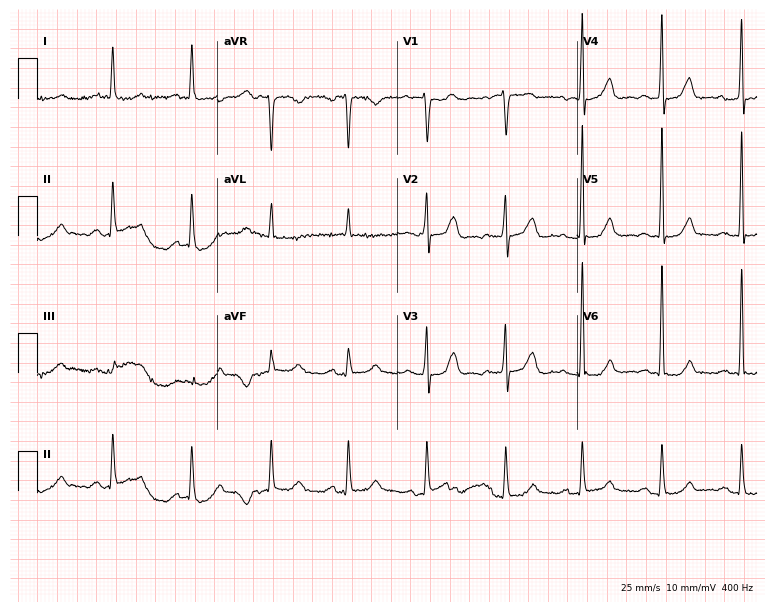
Electrocardiogram (7.3-second recording at 400 Hz), a 65-year-old woman. Of the six screened findings (first-degree AV block, right bundle branch block, left bundle branch block, sinus bradycardia, atrial fibrillation, sinus tachycardia), none is recorded.